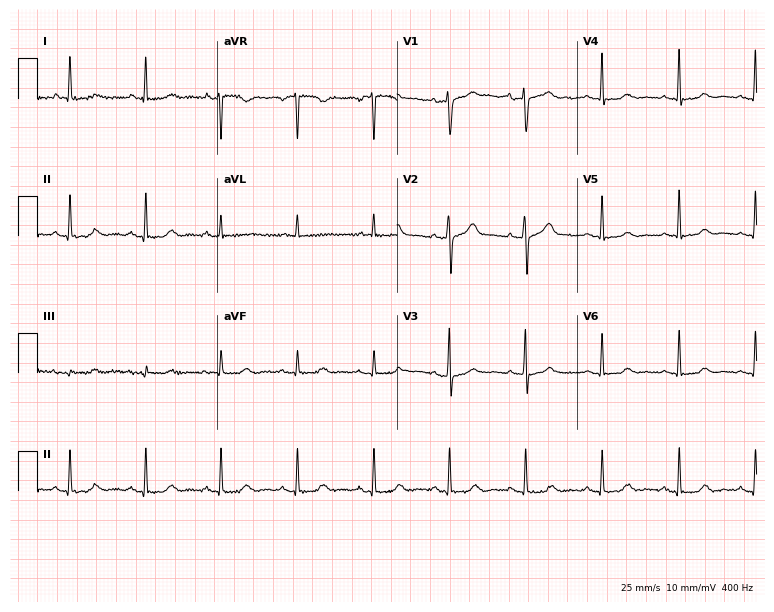
12-lead ECG from a 68-year-old woman (7.3-second recording at 400 Hz). No first-degree AV block, right bundle branch block, left bundle branch block, sinus bradycardia, atrial fibrillation or sinus tachycardia recorded for this tracing.